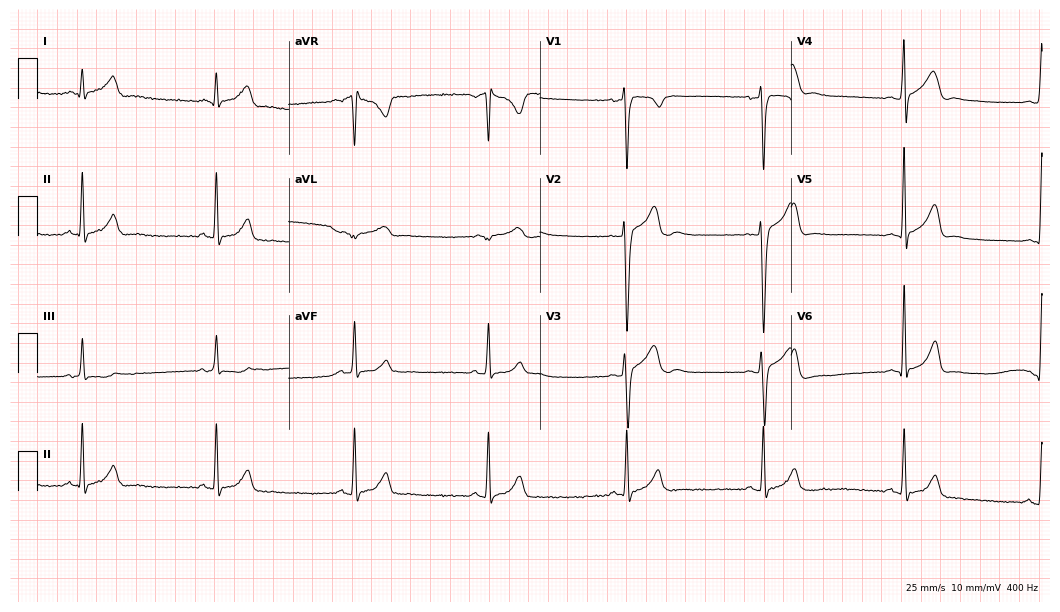
12-lead ECG from a 22-year-old male patient. Shows sinus bradycardia (a sinus rate of 50 beats per minute or less).